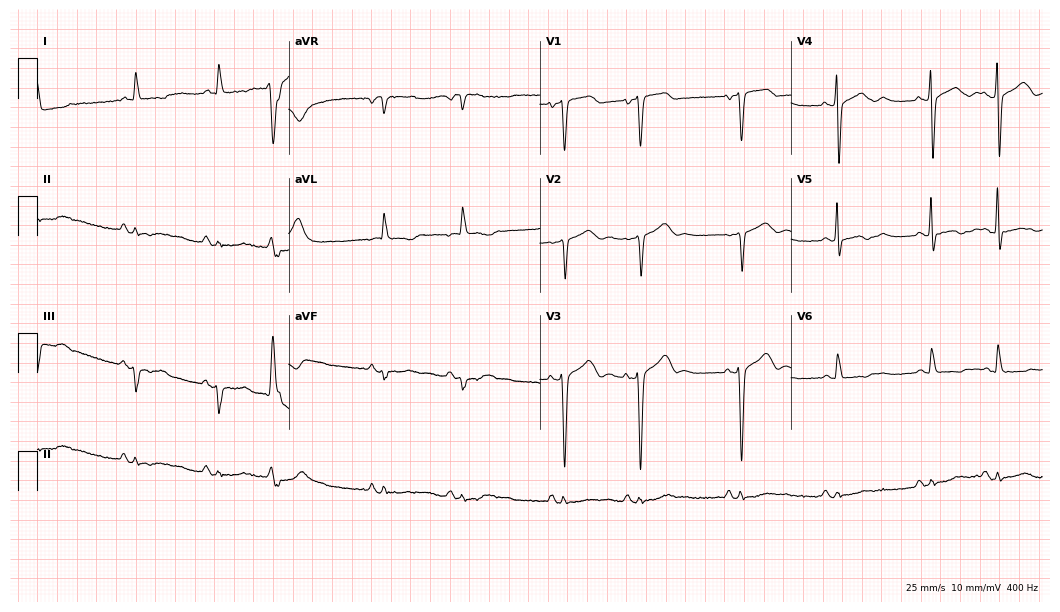
12-lead ECG from an 83-year-old female. No first-degree AV block, right bundle branch block, left bundle branch block, sinus bradycardia, atrial fibrillation or sinus tachycardia recorded for this tracing.